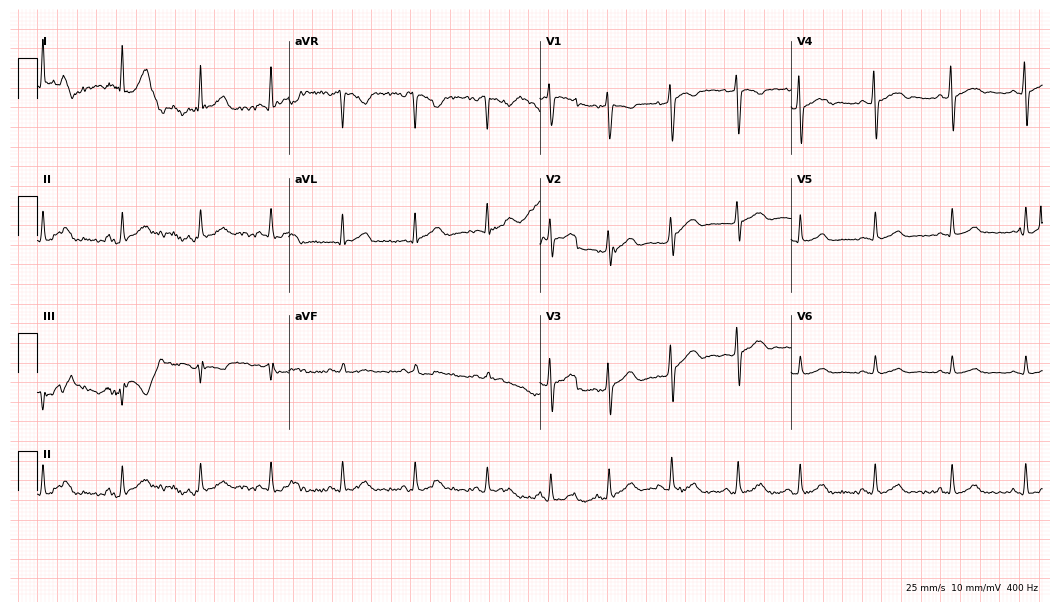
Standard 12-lead ECG recorded from a 23-year-old female patient (10.2-second recording at 400 Hz). None of these six findings is recorded: first-degree AV block, right bundle branch block (RBBB), left bundle branch block (LBBB), sinus bradycardia, atrial fibrillation (AF), sinus tachycardia. Only these six findings were labelled.